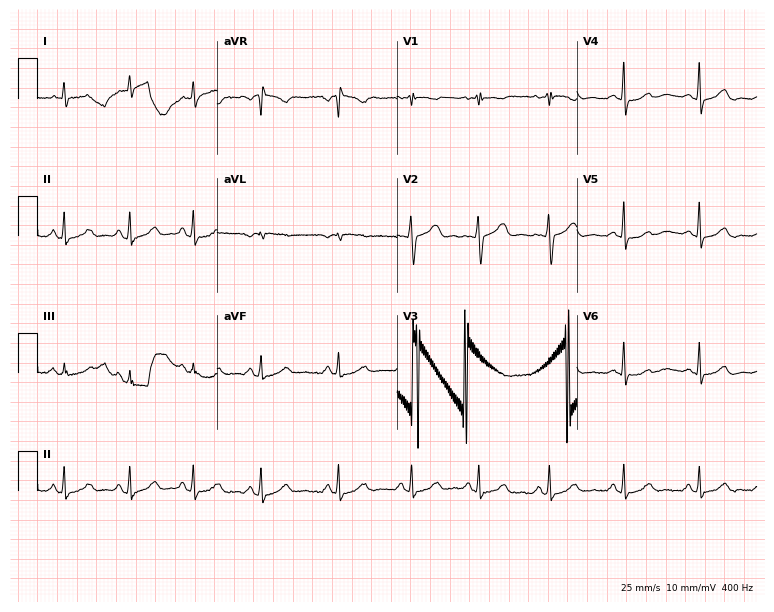
ECG (7.3-second recording at 400 Hz) — a woman, 33 years old. Labelled as a normal ECG.